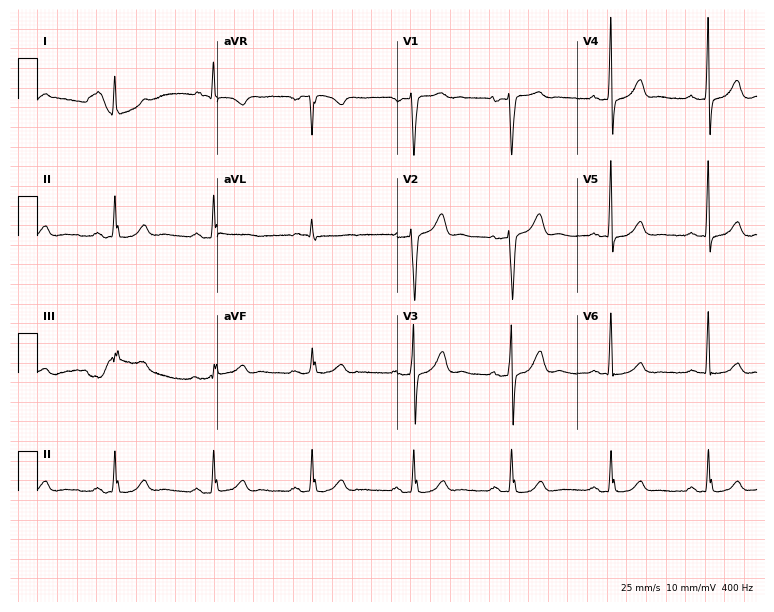
Standard 12-lead ECG recorded from a 63-year-old female patient (7.3-second recording at 400 Hz). None of these six findings is recorded: first-degree AV block, right bundle branch block (RBBB), left bundle branch block (LBBB), sinus bradycardia, atrial fibrillation (AF), sinus tachycardia.